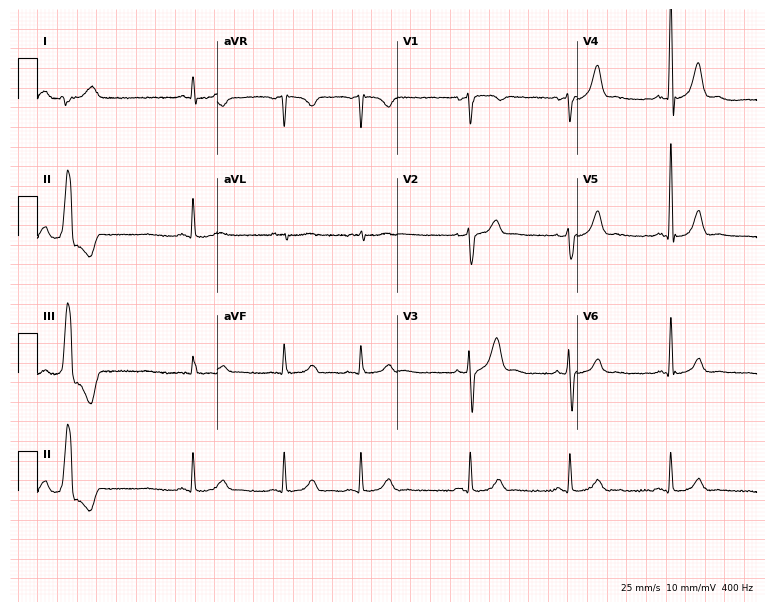
Resting 12-lead electrocardiogram. Patient: a male, 61 years old. None of these six findings is recorded: first-degree AV block, right bundle branch block (RBBB), left bundle branch block (LBBB), sinus bradycardia, atrial fibrillation (AF), sinus tachycardia.